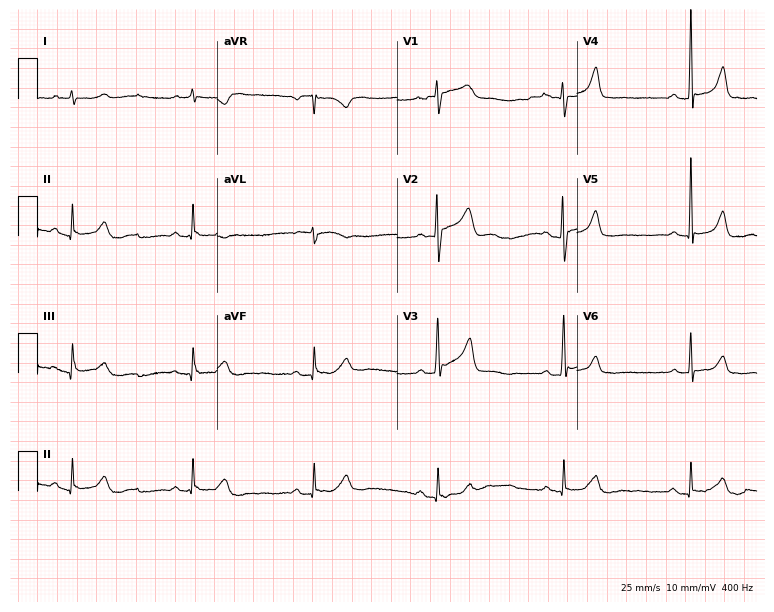
Standard 12-lead ECG recorded from a 46-year-old male patient (7.3-second recording at 400 Hz). None of these six findings is recorded: first-degree AV block, right bundle branch block, left bundle branch block, sinus bradycardia, atrial fibrillation, sinus tachycardia. Other findings, if any, are not listed.